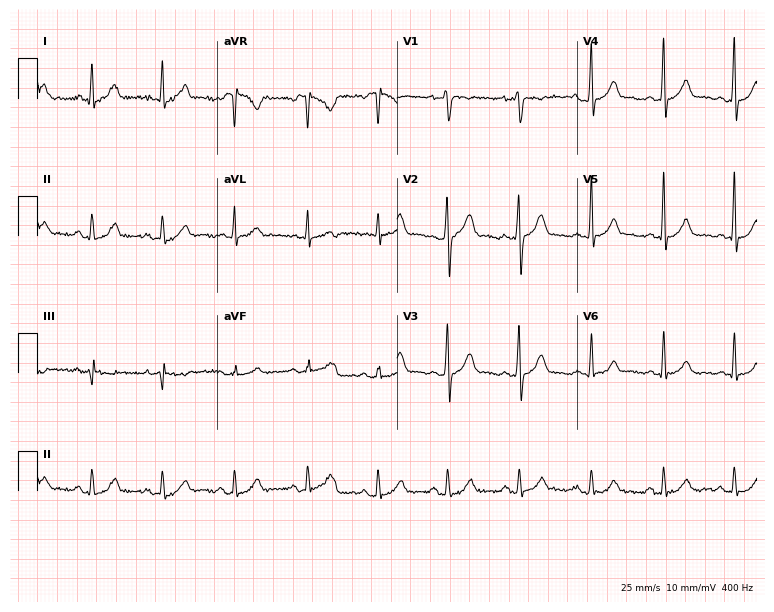
Standard 12-lead ECG recorded from a male, 32 years old (7.3-second recording at 400 Hz). Read as a normal ECG.